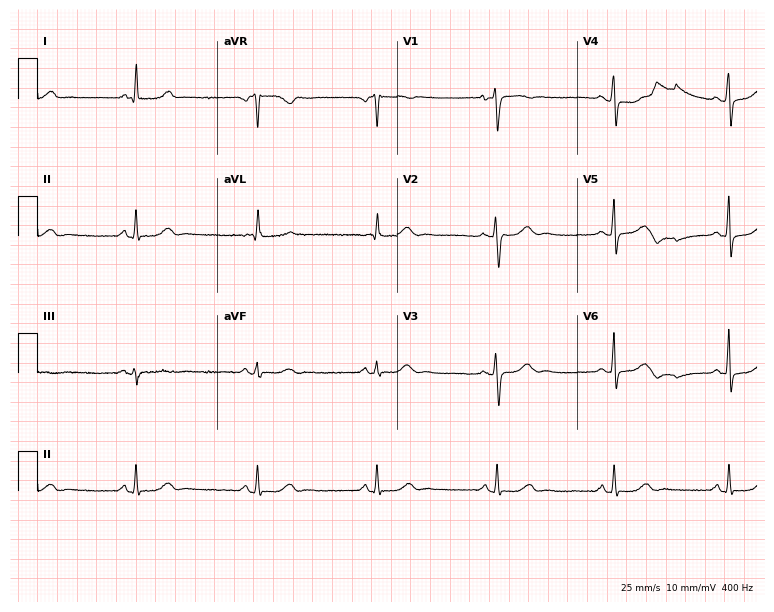
Standard 12-lead ECG recorded from a 54-year-old female. The tracing shows sinus bradycardia (a sinus rate of 50 beats per minute or less).